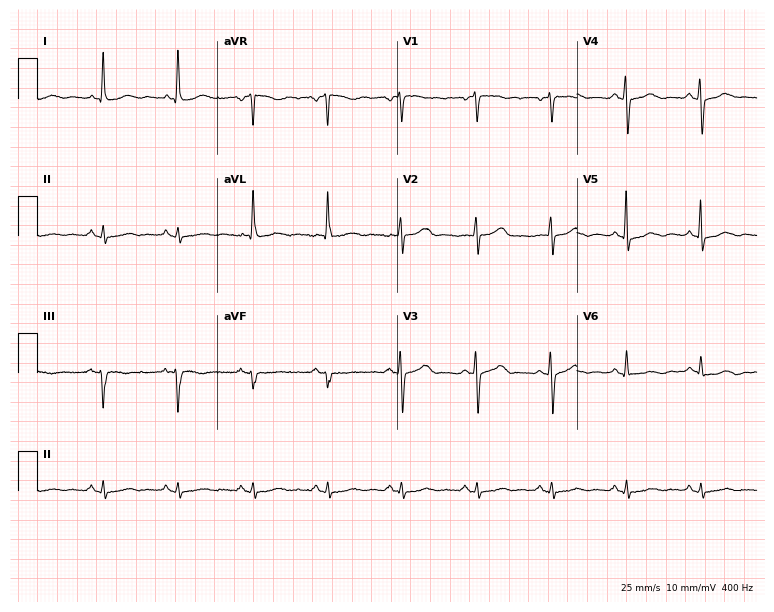
12-lead ECG from a female, 71 years old (7.3-second recording at 400 Hz). No first-degree AV block, right bundle branch block, left bundle branch block, sinus bradycardia, atrial fibrillation or sinus tachycardia recorded for this tracing.